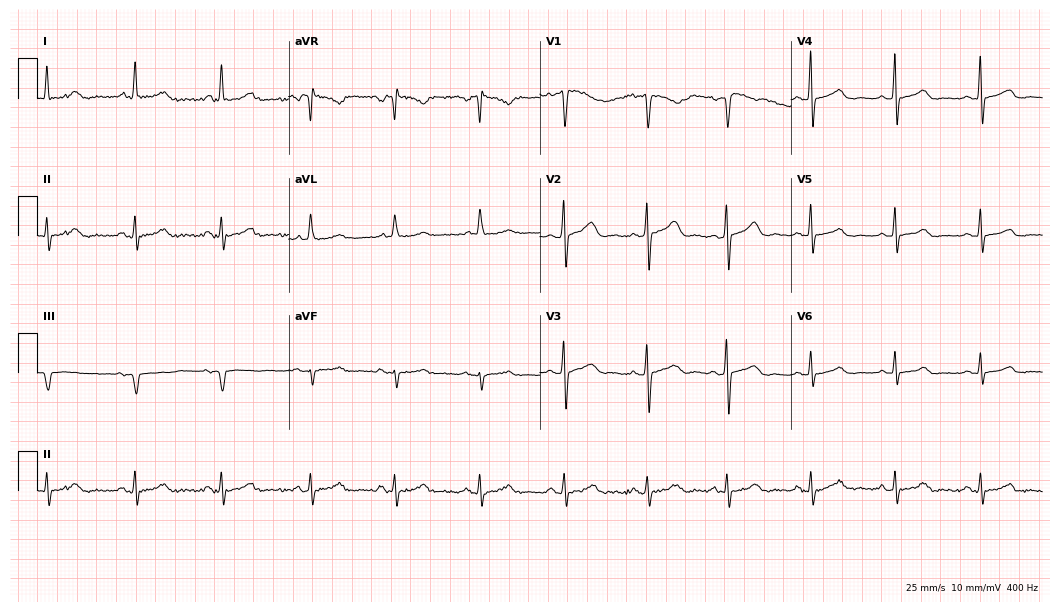
Standard 12-lead ECG recorded from a 60-year-old female patient. Read as a normal ECG.